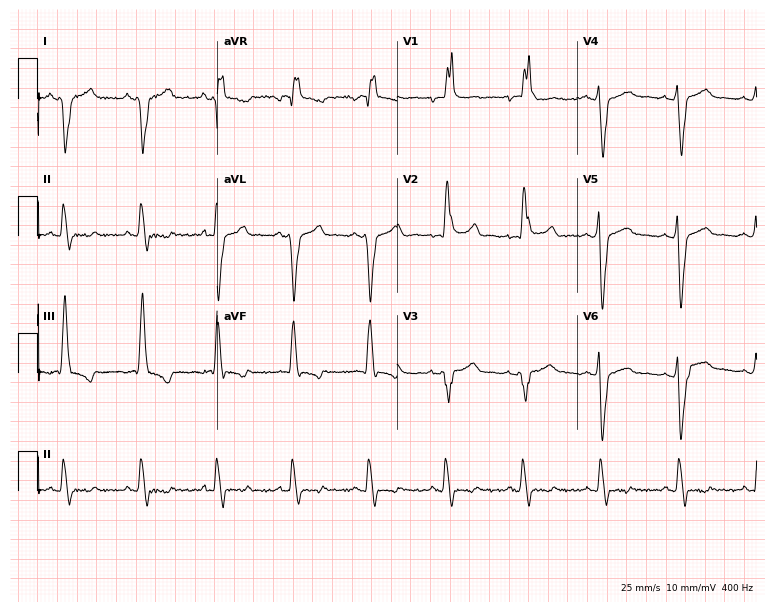
12-lead ECG from a male, 58 years old. Shows right bundle branch block.